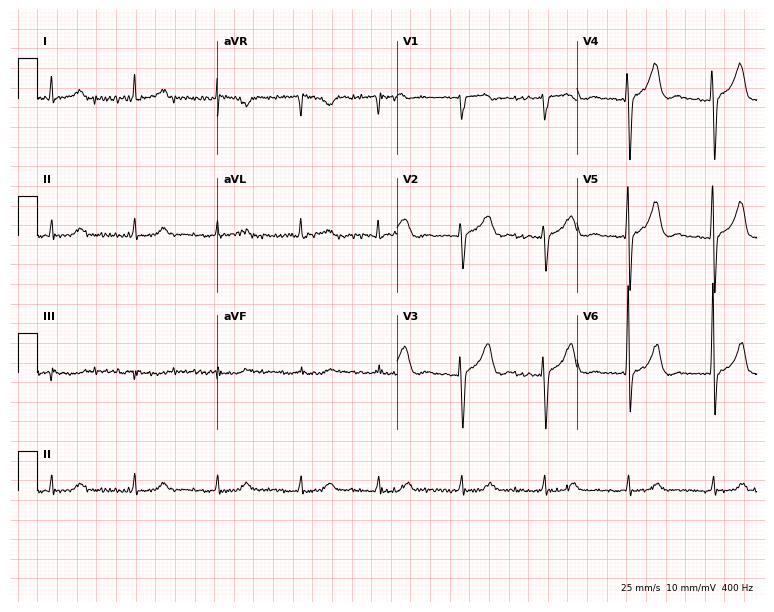
Electrocardiogram, an 80-year-old man. Of the six screened findings (first-degree AV block, right bundle branch block, left bundle branch block, sinus bradycardia, atrial fibrillation, sinus tachycardia), none is recorded.